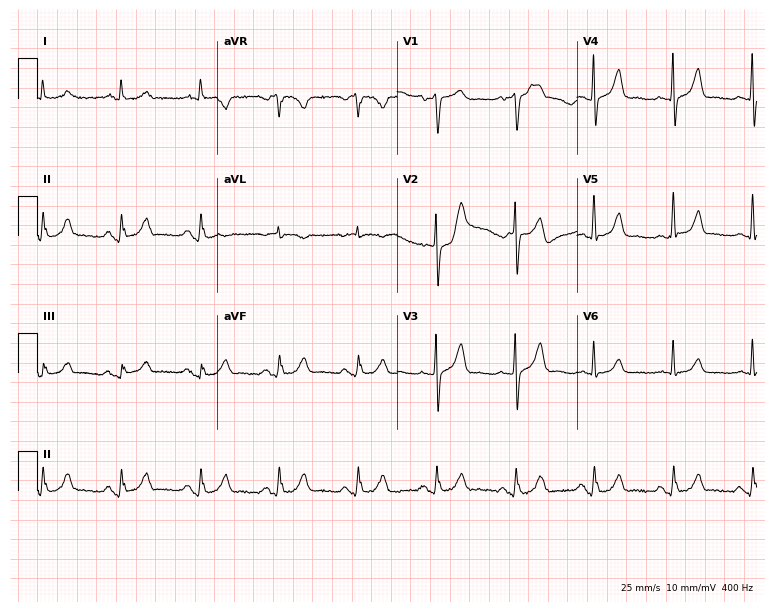
Electrocardiogram (7.3-second recording at 400 Hz), a male patient, 78 years old. Overall reading on record: normal ECG.